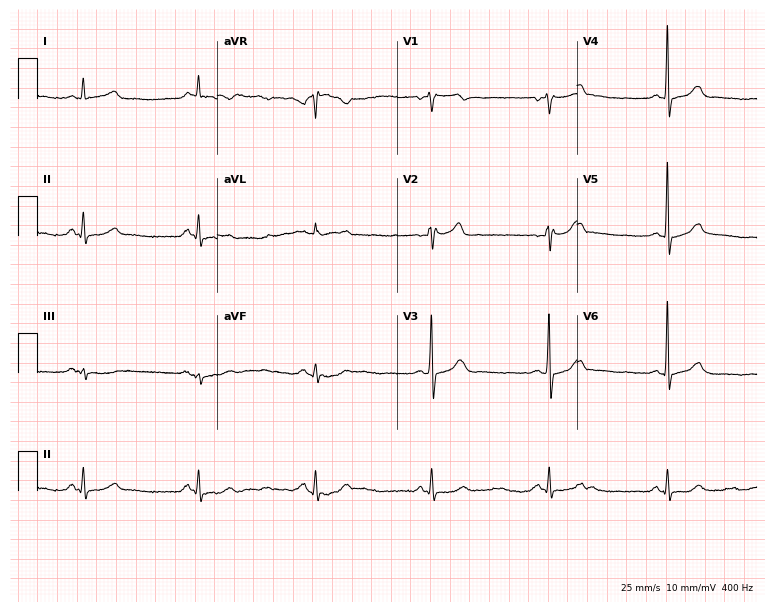
Standard 12-lead ECG recorded from a 71-year-old male (7.3-second recording at 400 Hz). None of these six findings is recorded: first-degree AV block, right bundle branch block, left bundle branch block, sinus bradycardia, atrial fibrillation, sinus tachycardia. Findings outside these six are not listed.